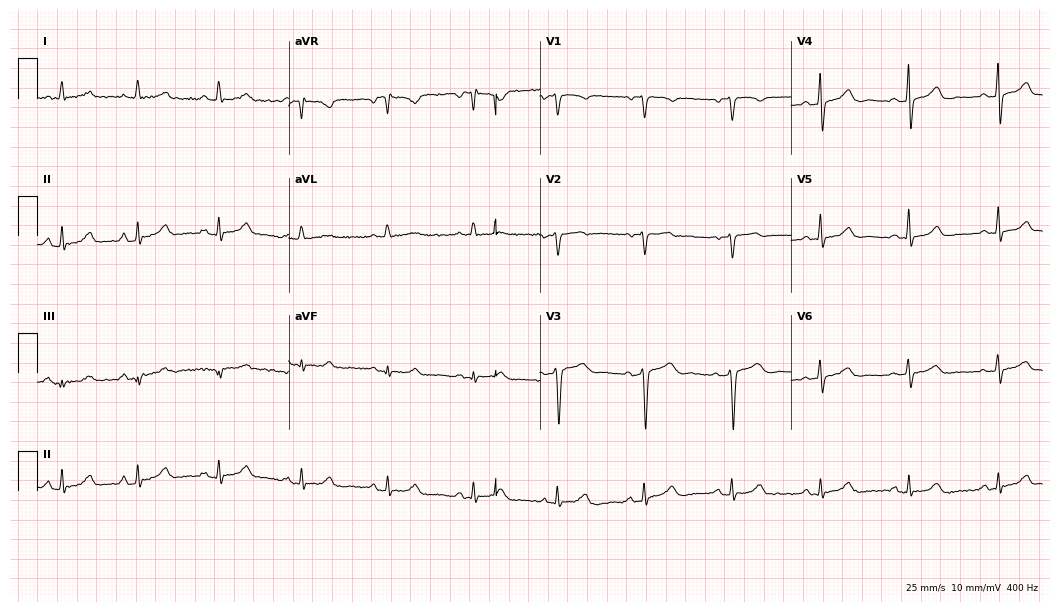
ECG (10.2-second recording at 400 Hz) — a female, 60 years old. Labelled as a normal ECG.